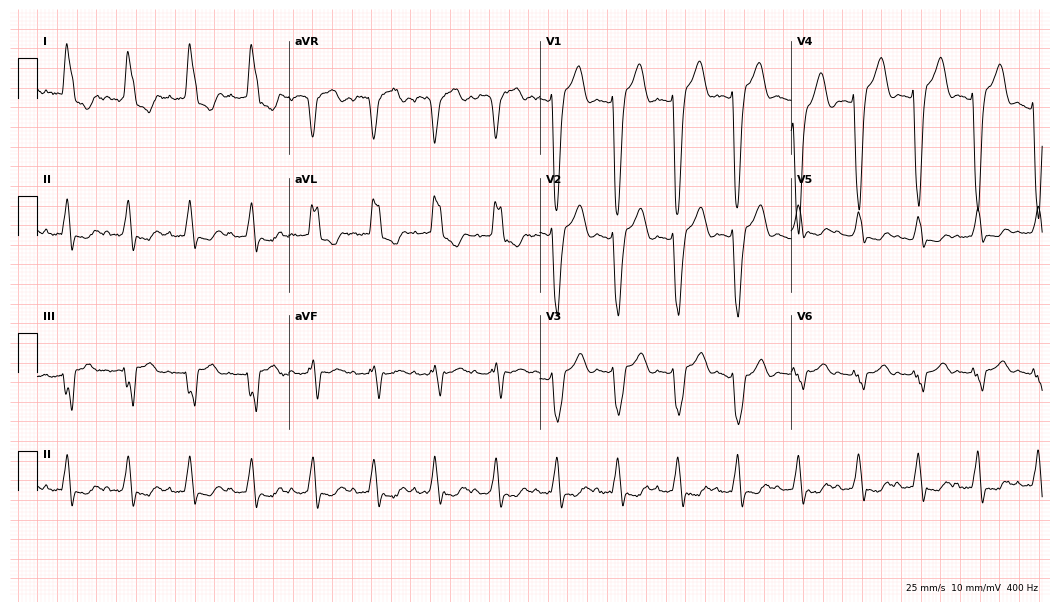
12-lead ECG (10.2-second recording at 400 Hz) from an 83-year-old female patient. Findings include left bundle branch block.